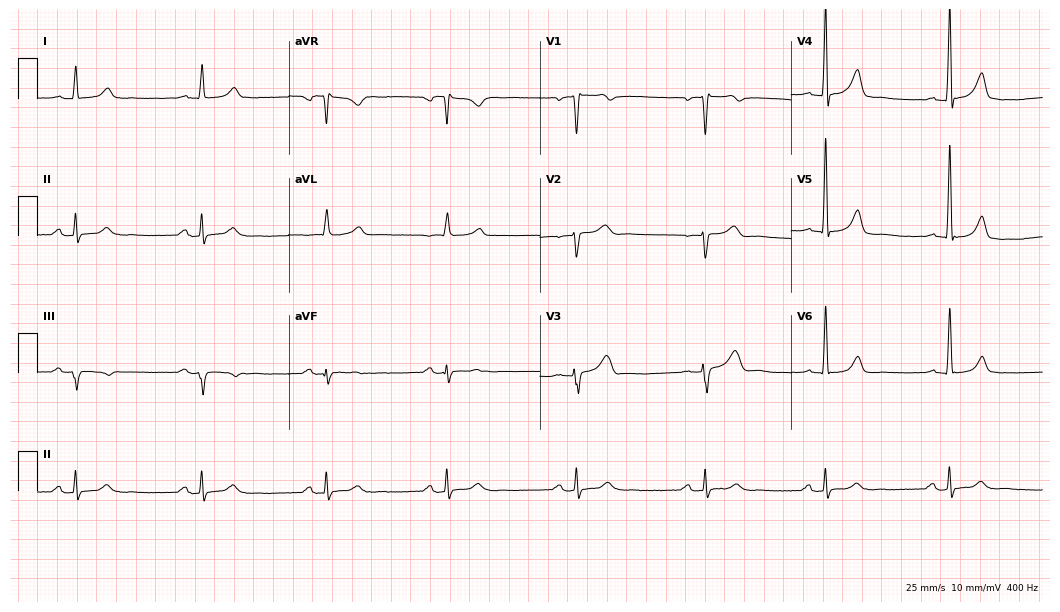
Electrocardiogram, a man, 72 years old. Of the six screened findings (first-degree AV block, right bundle branch block (RBBB), left bundle branch block (LBBB), sinus bradycardia, atrial fibrillation (AF), sinus tachycardia), none is recorded.